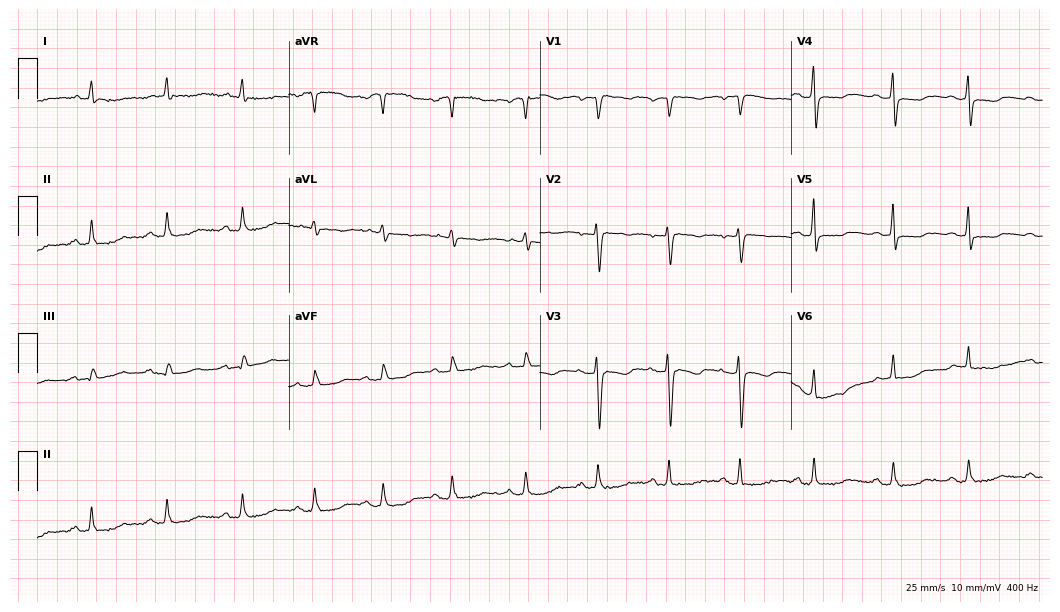
Standard 12-lead ECG recorded from a woman, 64 years old. None of these six findings is recorded: first-degree AV block, right bundle branch block, left bundle branch block, sinus bradycardia, atrial fibrillation, sinus tachycardia.